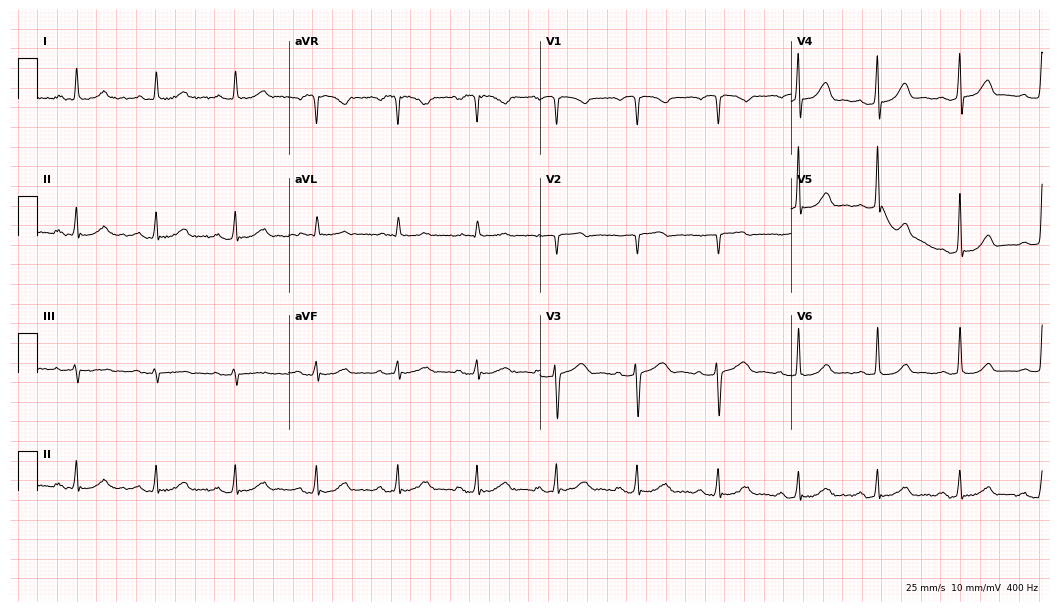
Resting 12-lead electrocardiogram. Patient: a 58-year-old female. Read as a normal ECG.